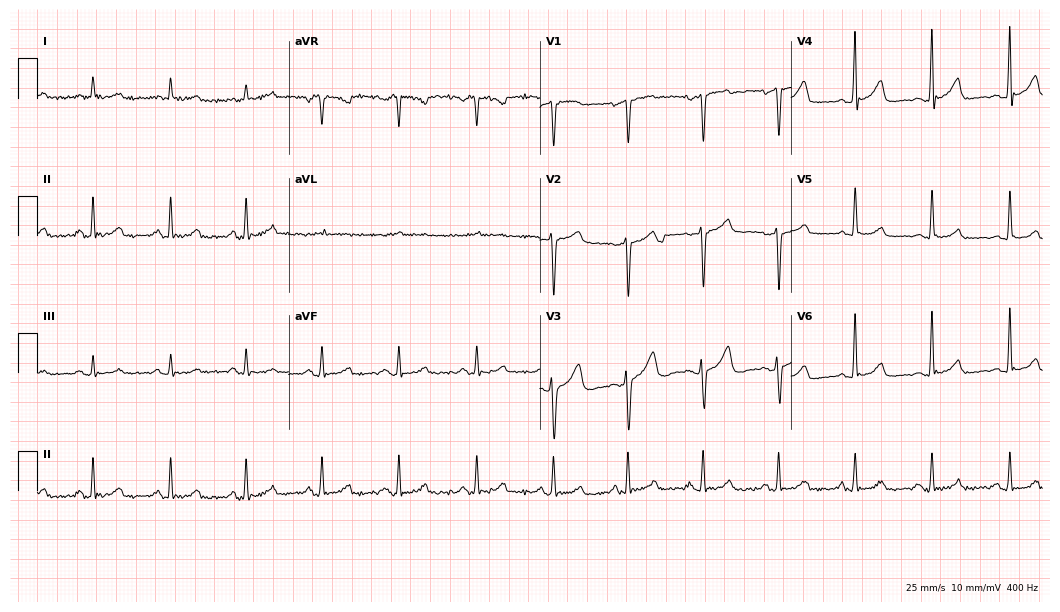
12-lead ECG (10.2-second recording at 400 Hz) from a 47-year-old male. Labelled as a normal ECG.